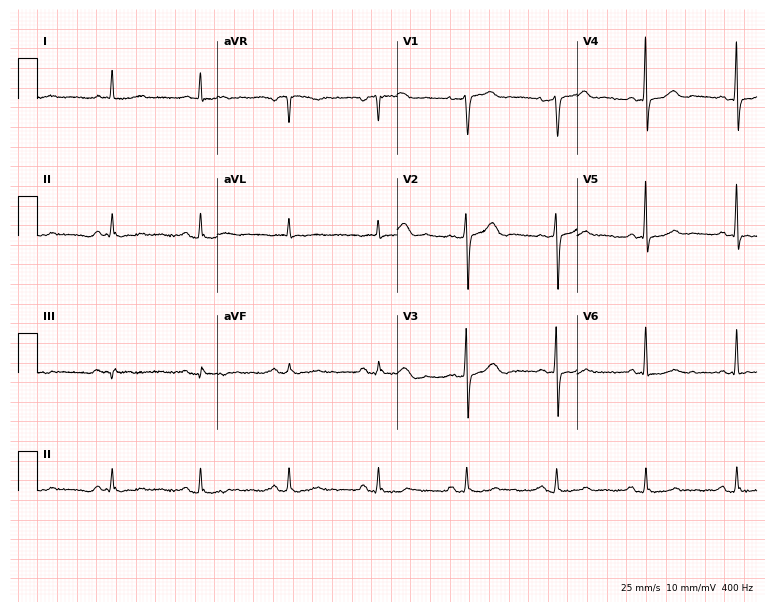
ECG (7.3-second recording at 400 Hz) — a female, 69 years old. Screened for six findings — first-degree AV block, right bundle branch block, left bundle branch block, sinus bradycardia, atrial fibrillation, sinus tachycardia — none is recorded. Findings outside these six are not listed.